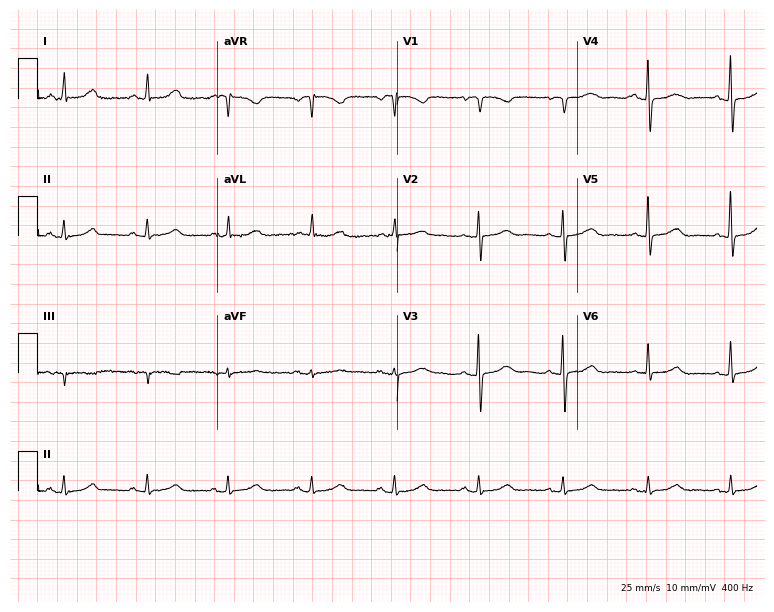
12-lead ECG (7.3-second recording at 400 Hz) from a 76-year-old woman. Screened for six findings — first-degree AV block, right bundle branch block, left bundle branch block, sinus bradycardia, atrial fibrillation, sinus tachycardia — none is recorded.